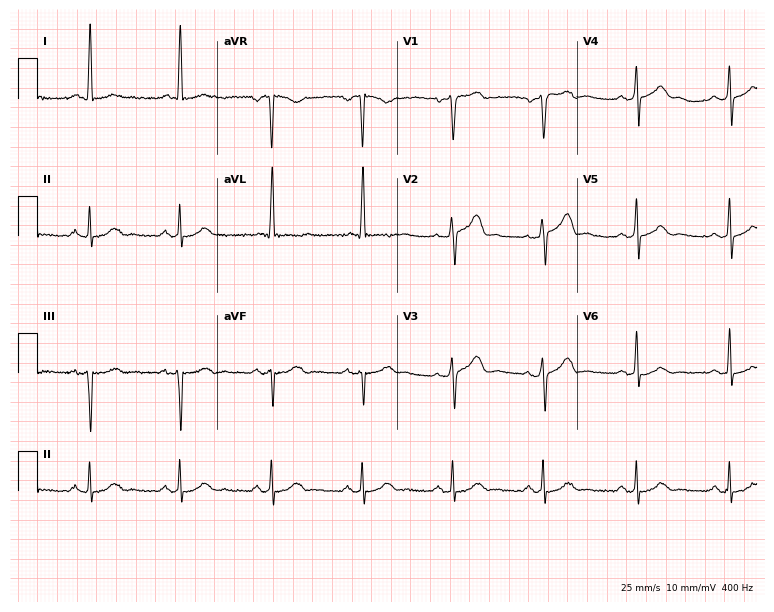
12-lead ECG from a male, 55 years old (7.3-second recording at 400 Hz). No first-degree AV block, right bundle branch block, left bundle branch block, sinus bradycardia, atrial fibrillation or sinus tachycardia recorded for this tracing. Only these six findings were labelled.